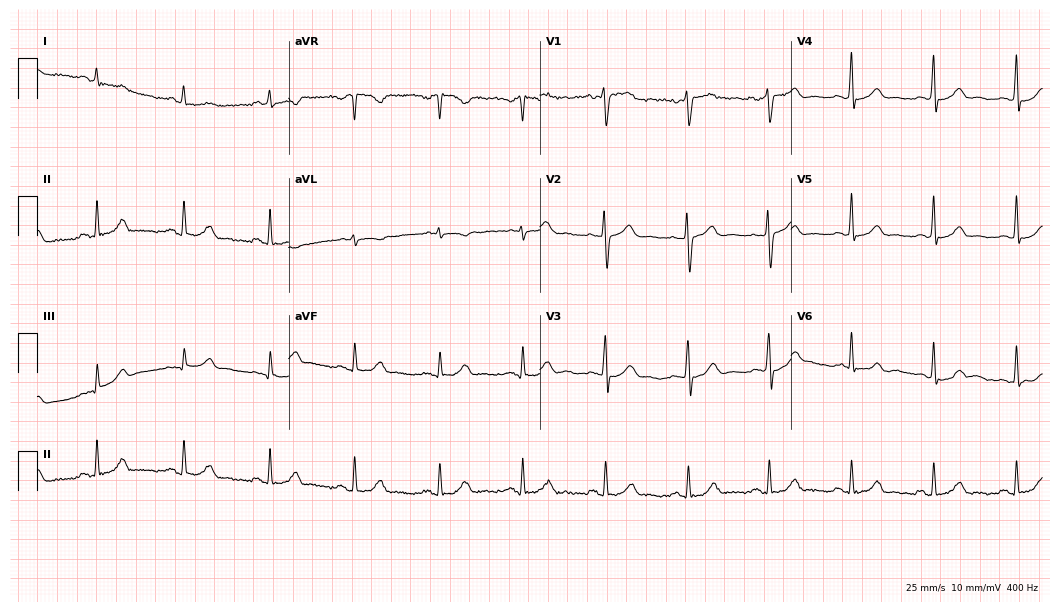
ECG (10.2-second recording at 400 Hz) — a 53-year-old male. Labelled as a normal ECG.